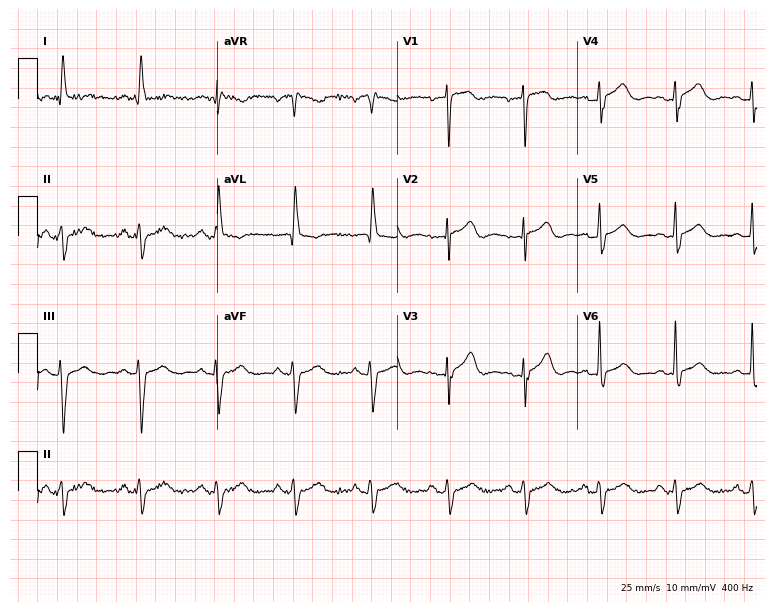
ECG (7.3-second recording at 400 Hz) — a female, 69 years old. Screened for six findings — first-degree AV block, right bundle branch block, left bundle branch block, sinus bradycardia, atrial fibrillation, sinus tachycardia — none is recorded.